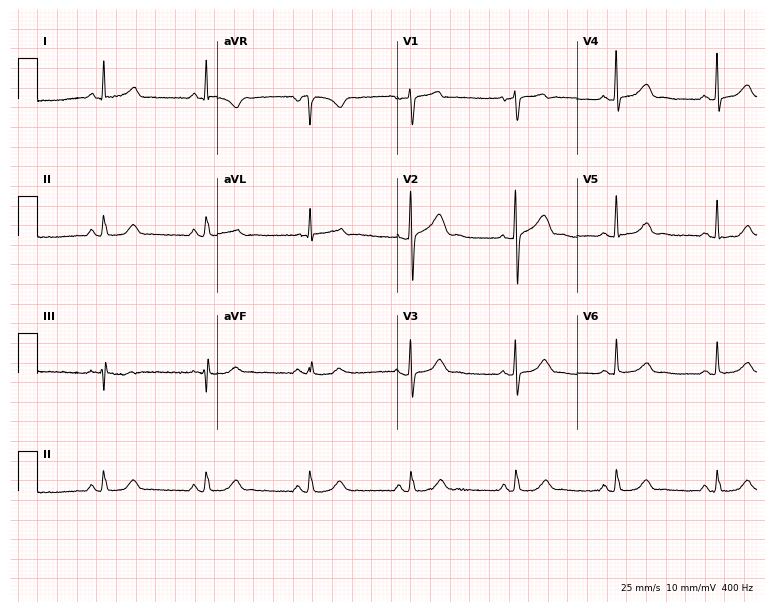
12-lead ECG from a 57-year-old female patient. Findings include sinus bradycardia (a sinus rate of 50 beats per minute or less).